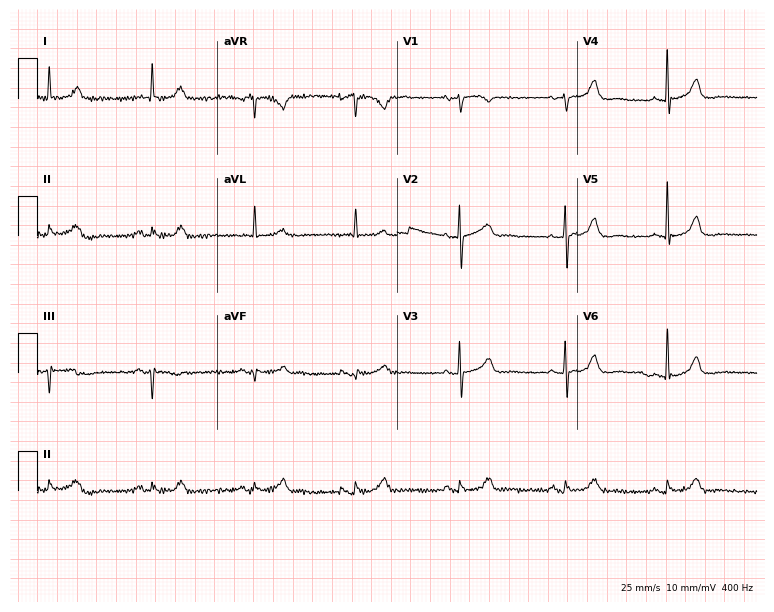
Resting 12-lead electrocardiogram (7.3-second recording at 400 Hz). Patient: a 72-year-old woman. None of these six findings is recorded: first-degree AV block, right bundle branch block (RBBB), left bundle branch block (LBBB), sinus bradycardia, atrial fibrillation (AF), sinus tachycardia. Findings outside these six are not listed.